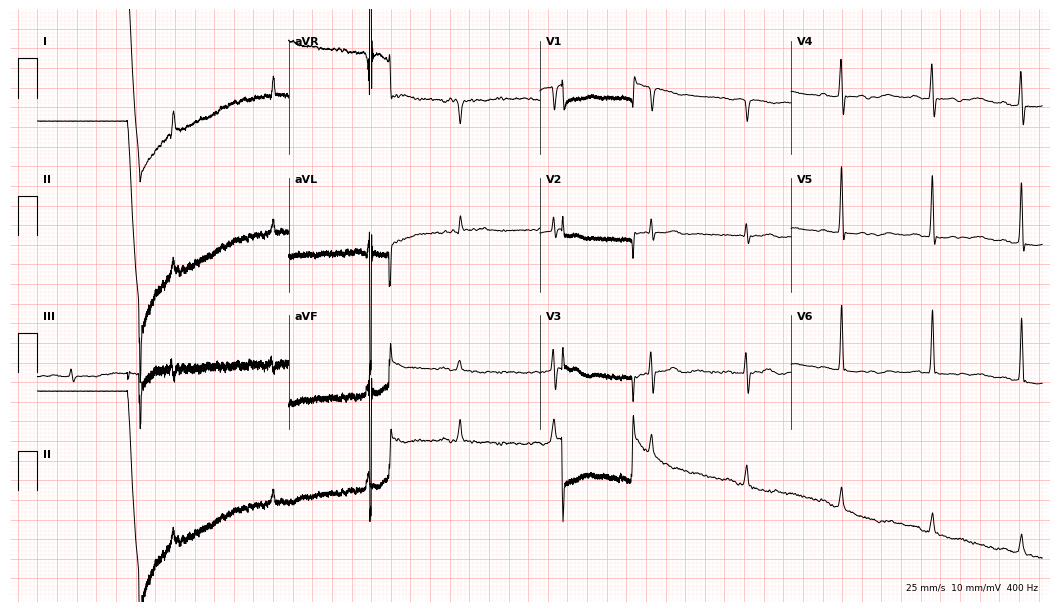
ECG — an 84-year-old man. Screened for six findings — first-degree AV block, right bundle branch block (RBBB), left bundle branch block (LBBB), sinus bradycardia, atrial fibrillation (AF), sinus tachycardia — none is recorded. Other findings, if any, are not listed.